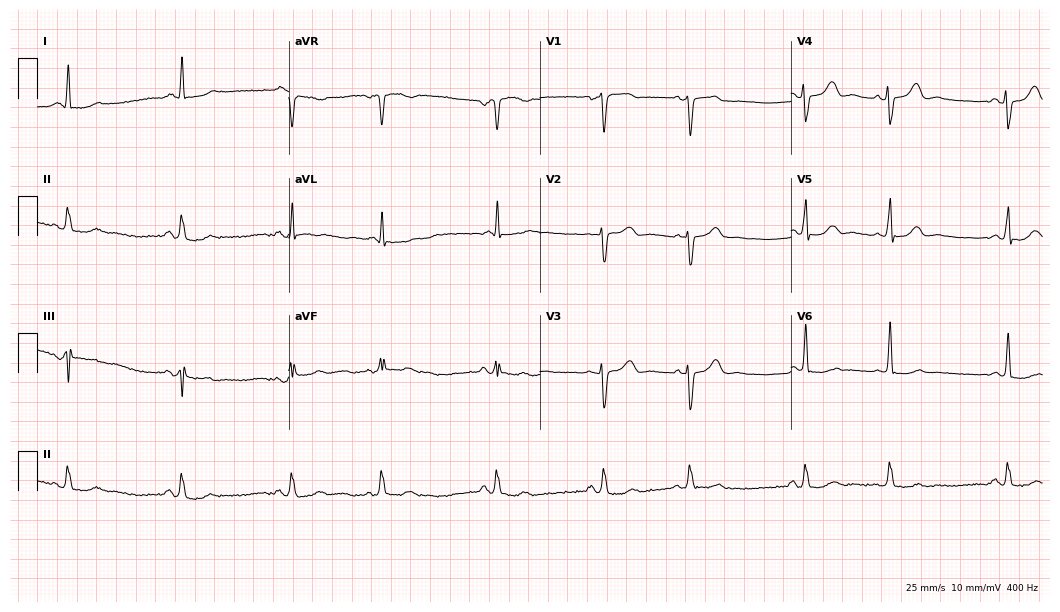
Resting 12-lead electrocardiogram. Patient: a female, 72 years old. Read as a normal ECG.